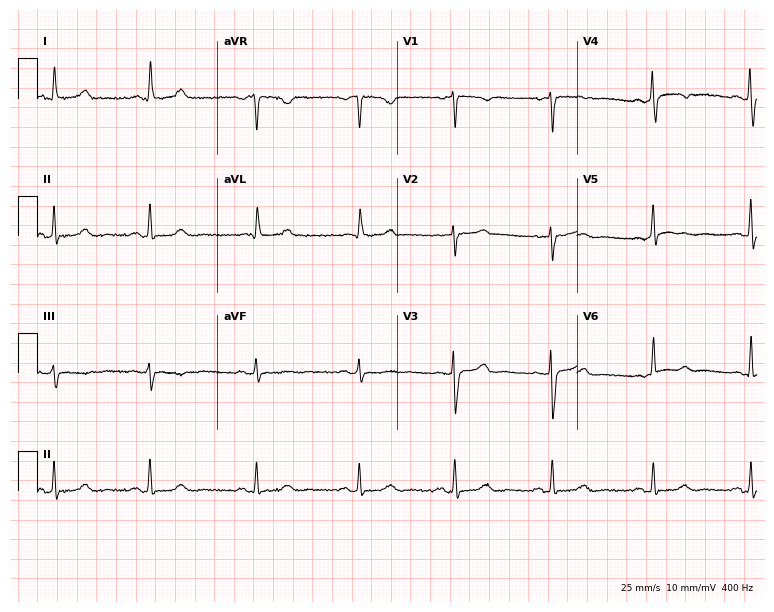
ECG — a 47-year-old female patient. Screened for six findings — first-degree AV block, right bundle branch block, left bundle branch block, sinus bradycardia, atrial fibrillation, sinus tachycardia — none is recorded. Other findings, if any, are not listed.